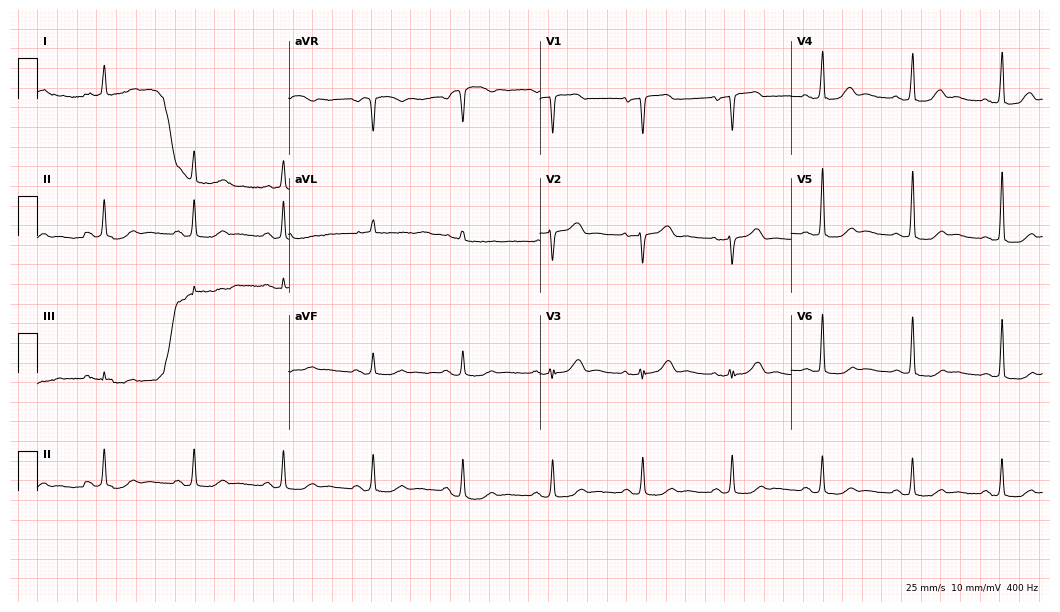
ECG — a 67-year-old female. Screened for six findings — first-degree AV block, right bundle branch block (RBBB), left bundle branch block (LBBB), sinus bradycardia, atrial fibrillation (AF), sinus tachycardia — none is recorded.